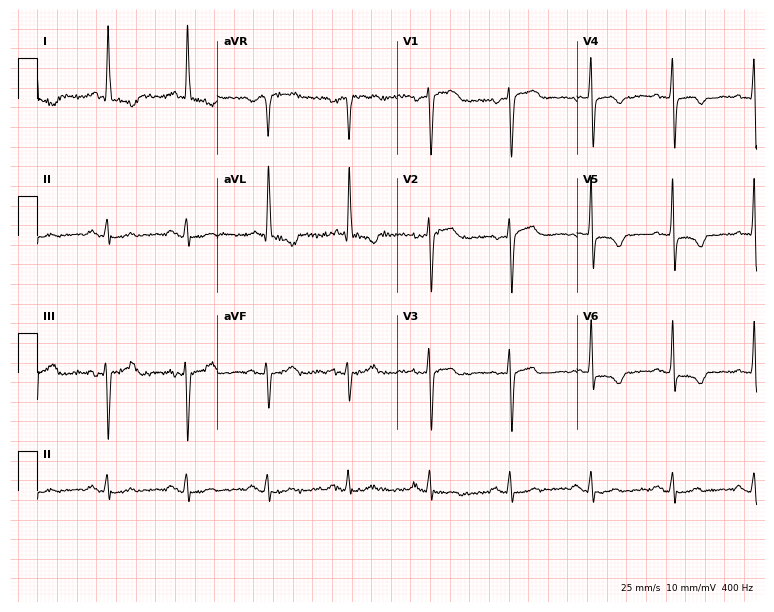
12-lead ECG (7.3-second recording at 400 Hz) from a 72-year-old woman. Screened for six findings — first-degree AV block, right bundle branch block, left bundle branch block, sinus bradycardia, atrial fibrillation, sinus tachycardia — none is recorded. Other findings, if any, are not listed.